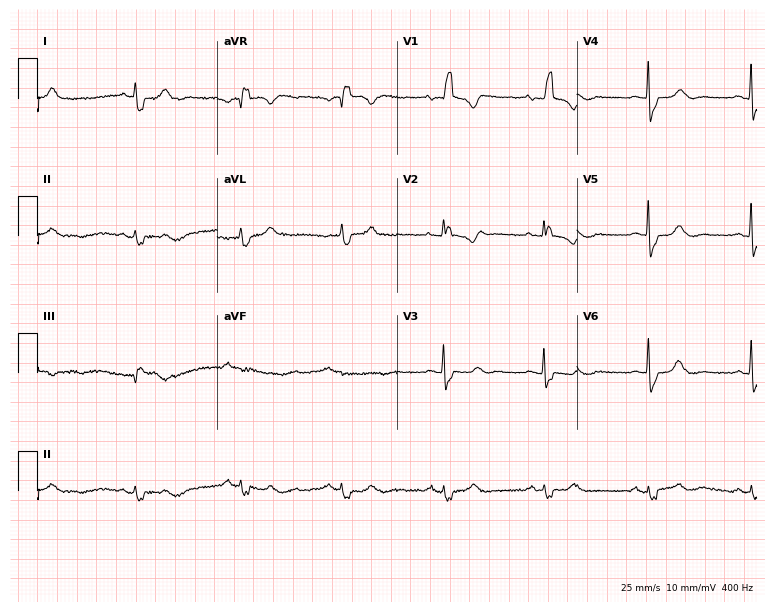
12-lead ECG from a female, 77 years old (7.3-second recording at 400 Hz). Shows right bundle branch block.